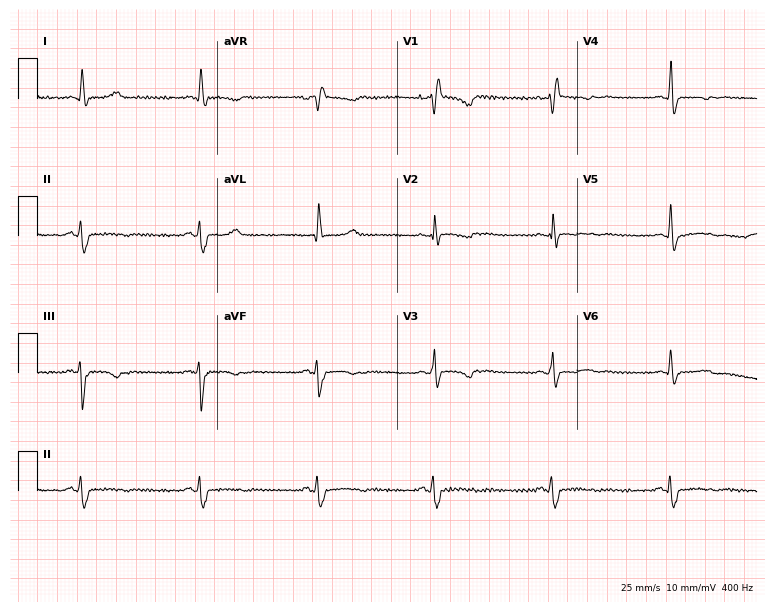
12-lead ECG (7.3-second recording at 400 Hz) from a female, 51 years old. Findings include right bundle branch block (RBBB), sinus bradycardia (a sinus rate of 50 beats per minute or less).